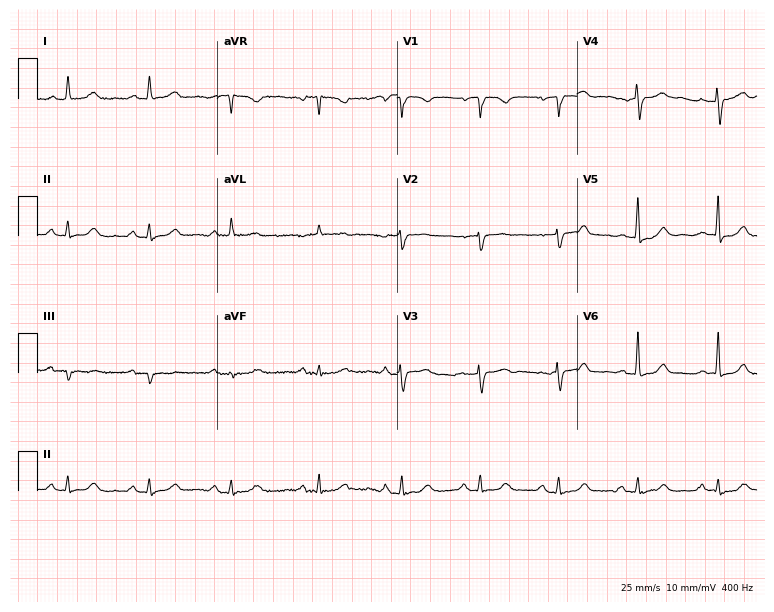
Resting 12-lead electrocardiogram. Patient: a man, 74 years old. None of these six findings is recorded: first-degree AV block, right bundle branch block, left bundle branch block, sinus bradycardia, atrial fibrillation, sinus tachycardia. Findings outside these six are not listed.